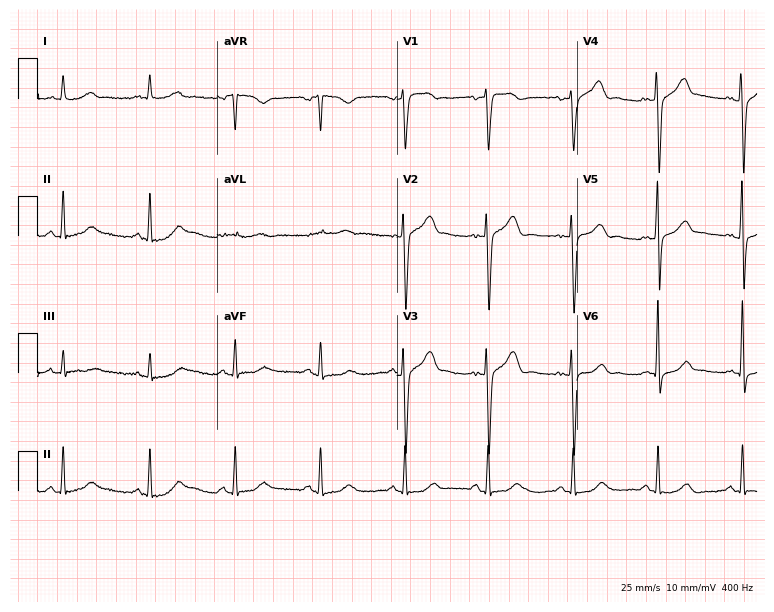
Resting 12-lead electrocardiogram (7.3-second recording at 400 Hz). Patient: a male, 73 years old. Read as a normal ECG.